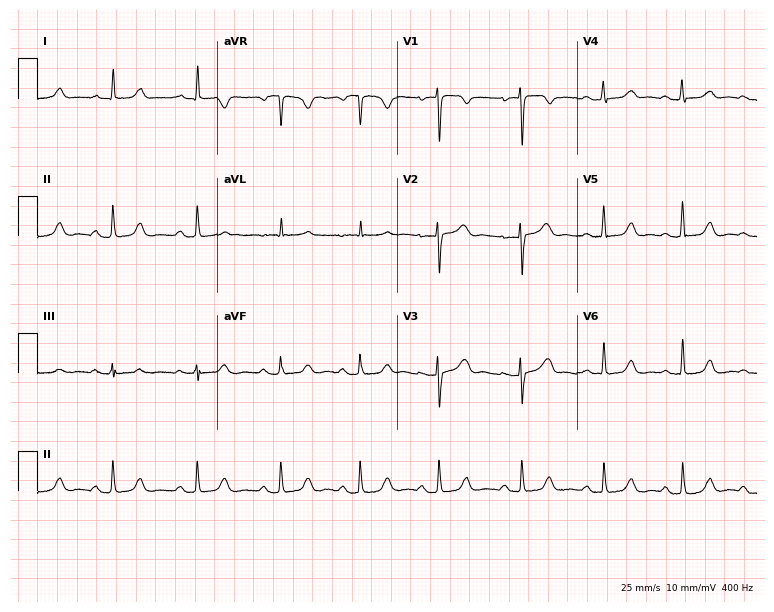
ECG (7.3-second recording at 400 Hz) — a 52-year-old female. Labelled as a normal ECG.